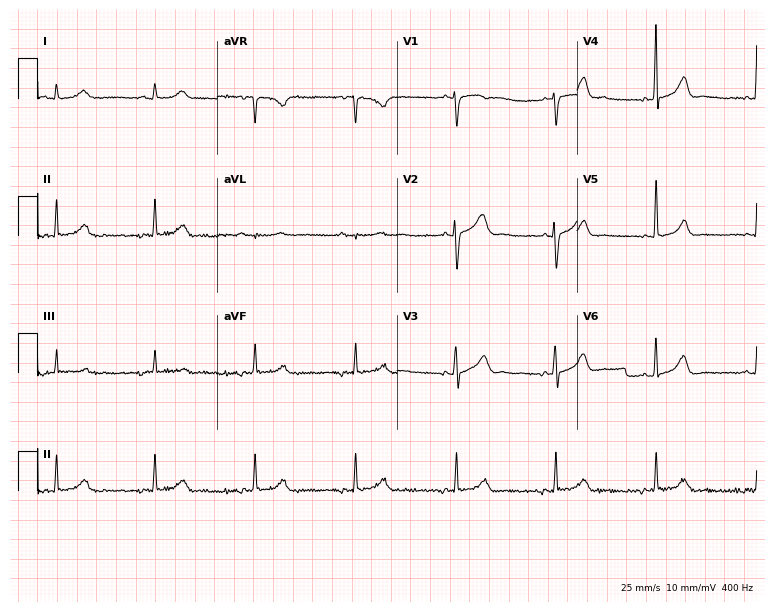
Electrocardiogram (7.3-second recording at 400 Hz), a 31-year-old female. Overall reading on record: normal ECG.